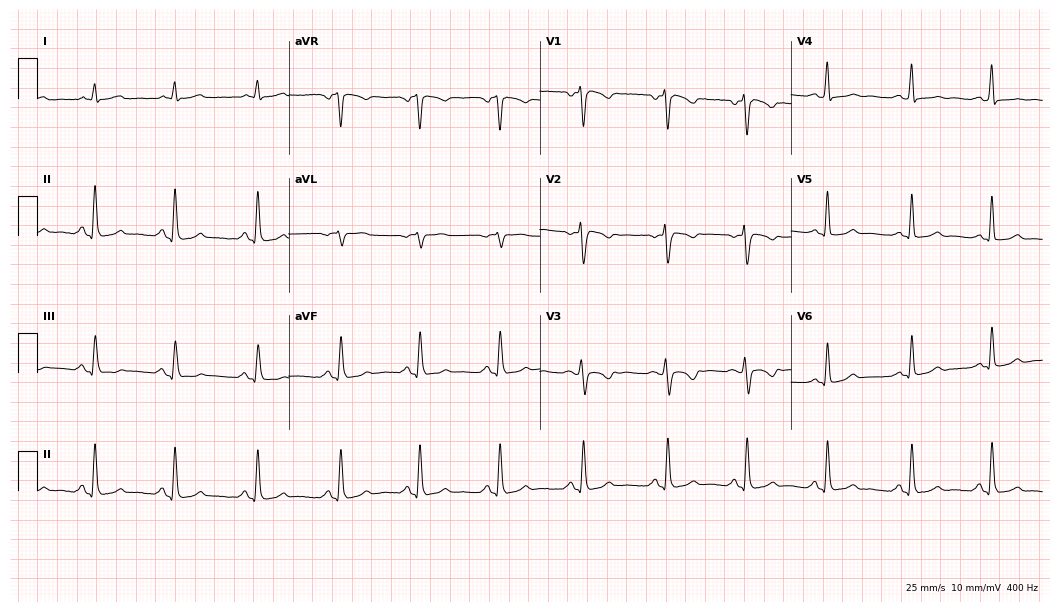
Standard 12-lead ECG recorded from a woman, 32 years old. None of these six findings is recorded: first-degree AV block, right bundle branch block (RBBB), left bundle branch block (LBBB), sinus bradycardia, atrial fibrillation (AF), sinus tachycardia.